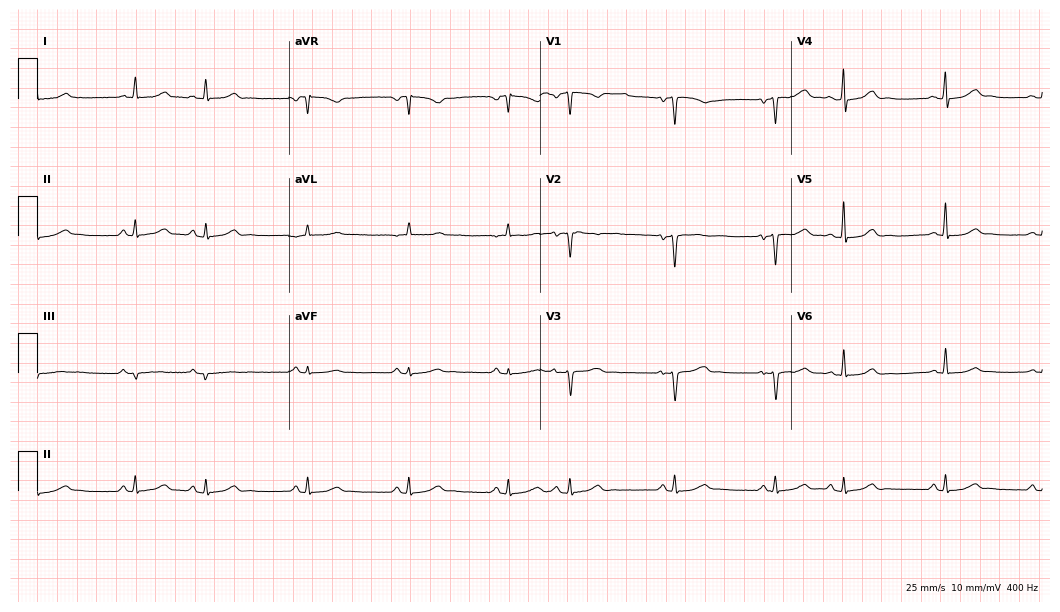
12-lead ECG (10.2-second recording at 400 Hz) from a 48-year-old woman. Screened for six findings — first-degree AV block, right bundle branch block, left bundle branch block, sinus bradycardia, atrial fibrillation, sinus tachycardia — none is recorded.